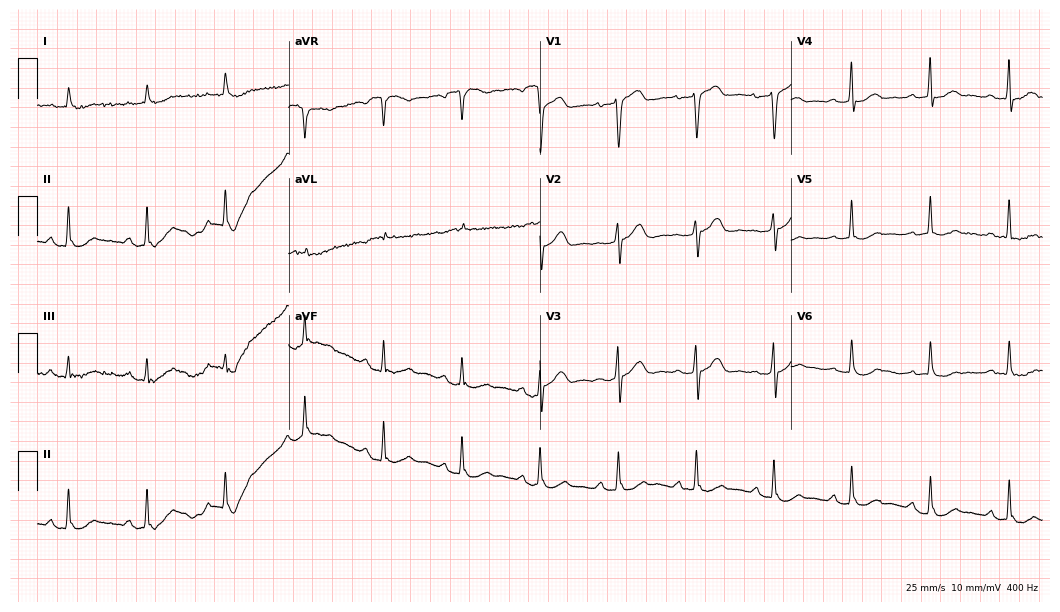
Standard 12-lead ECG recorded from a 69-year-old man (10.2-second recording at 400 Hz). Read as a normal ECG.